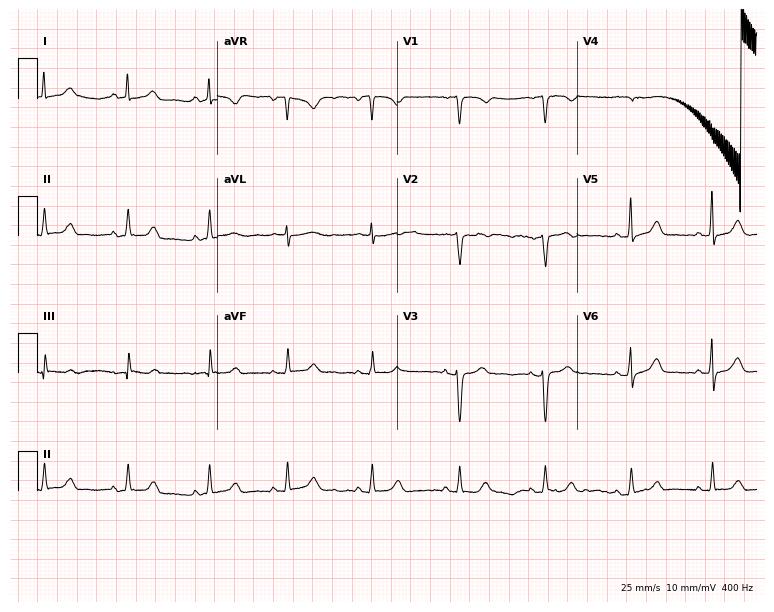
12-lead ECG from a female, 58 years old. Recorded interpretation: within normal limits.